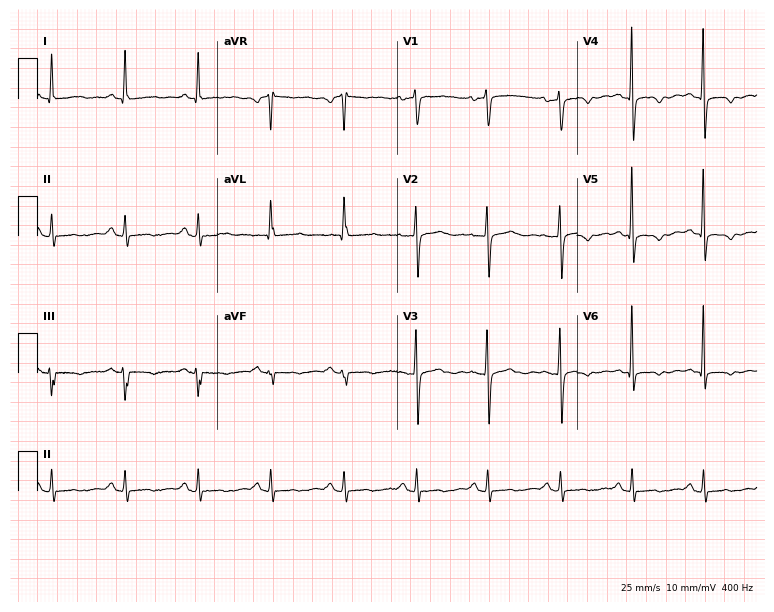
Resting 12-lead electrocardiogram. Patient: a 53-year-old woman. None of these six findings is recorded: first-degree AV block, right bundle branch block, left bundle branch block, sinus bradycardia, atrial fibrillation, sinus tachycardia.